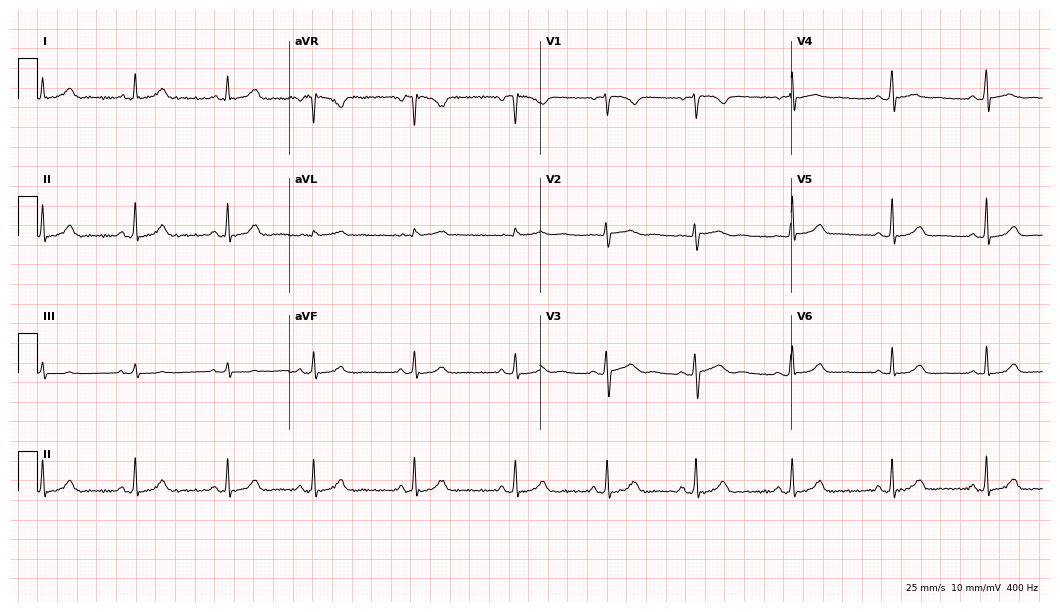
12-lead ECG from a female patient, 18 years old. Labelled as a normal ECG.